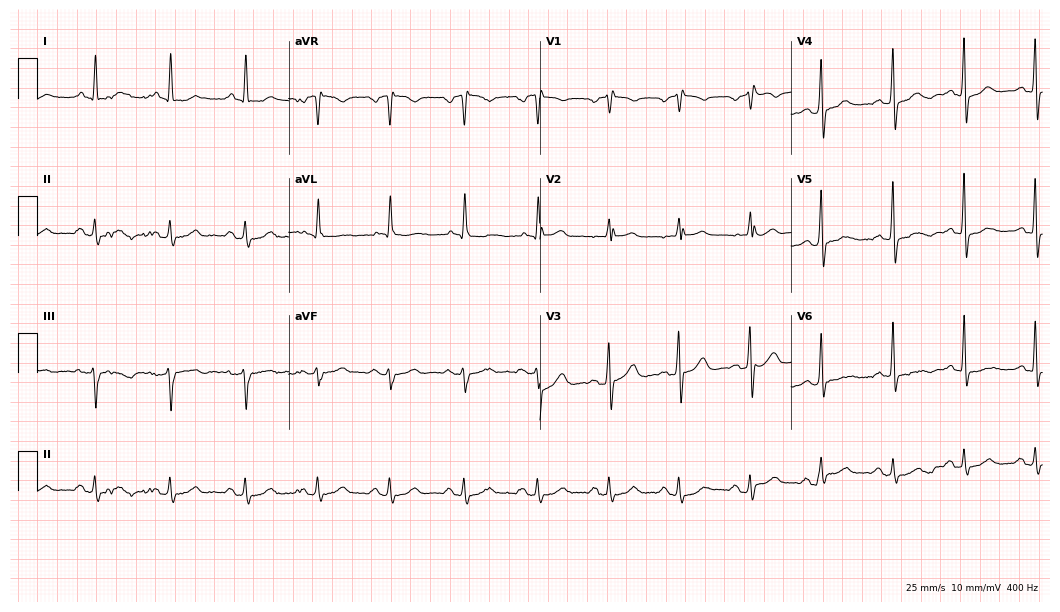
Standard 12-lead ECG recorded from a man, 62 years old (10.2-second recording at 400 Hz). None of these six findings is recorded: first-degree AV block, right bundle branch block, left bundle branch block, sinus bradycardia, atrial fibrillation, sinus tachycardia. Findings outside these six are not listed.